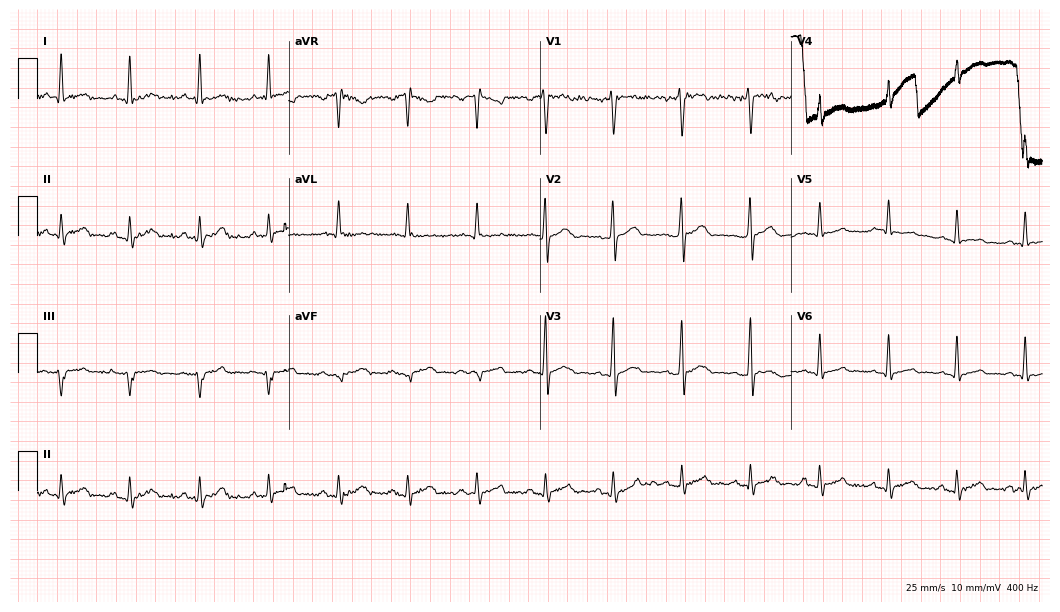
Standard 12-lead ECG recorded from a male patient, 27 years old (10.2-second recording at 400 Hz). None of these six findings is recorded: first-degree AV block, right bundle branch block, left bundle branch block, sinus bradycardia, atrial fibrillation, sinus tachycardia. Only these six findings were labelled.